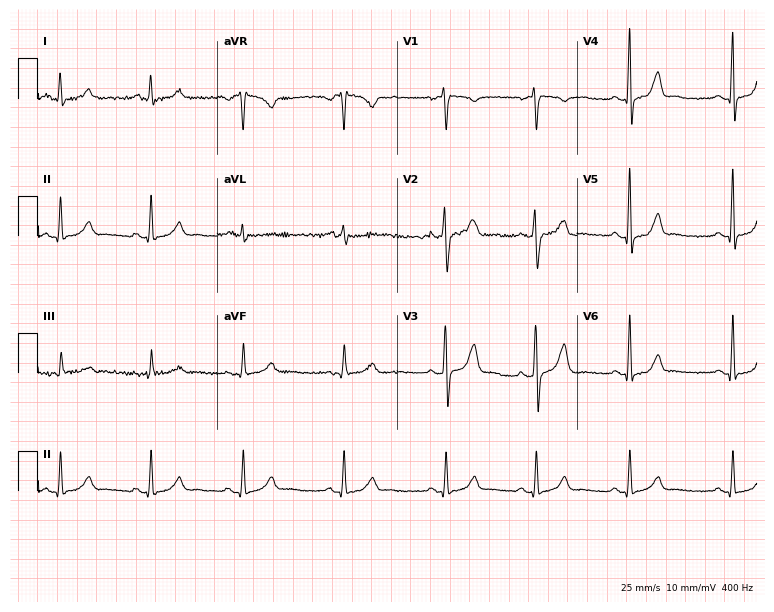
Resting 12-lead electrocardiogram (7.3-second recording at 400 Hz). Patient: a 30-year-old woman. Read as a normal ECG.